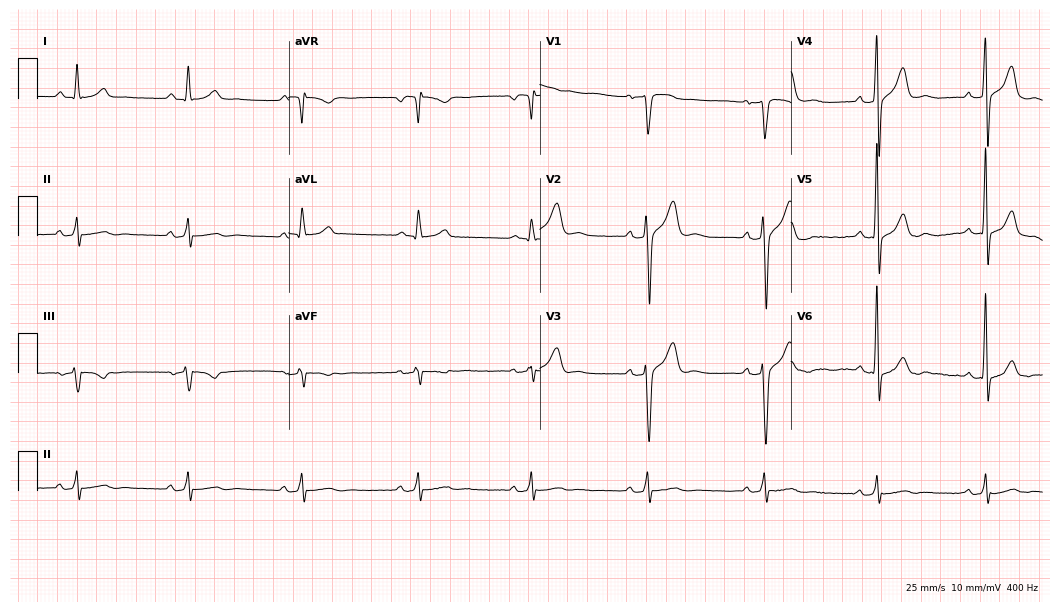
12-lead ECG from a 57-year-old man. Labelled as a normal ECG.